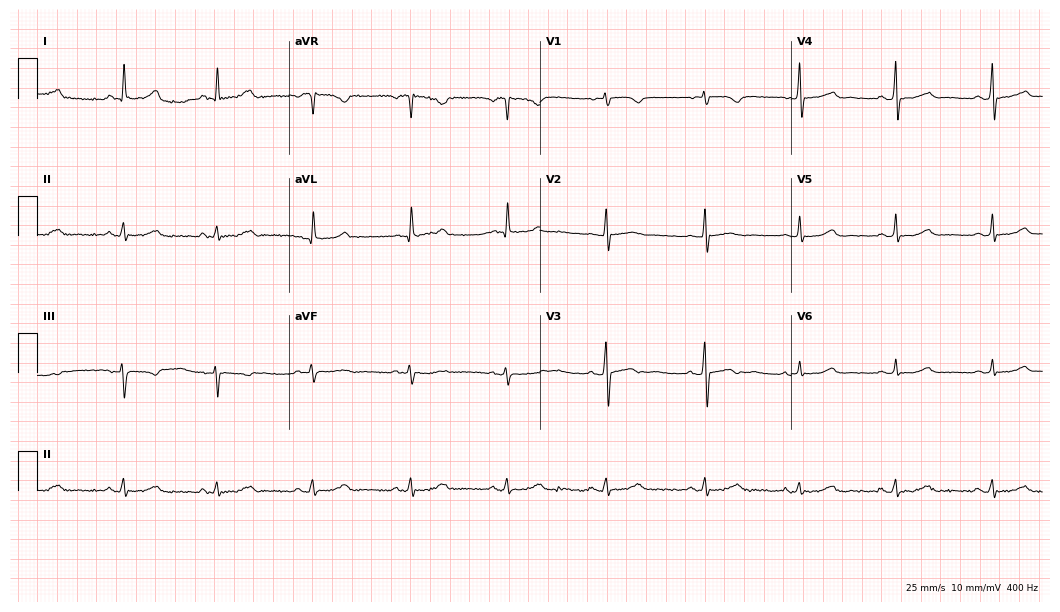
12-lead ECG from a female patient, 51 years old. Recorded interpretation: within normal limits.